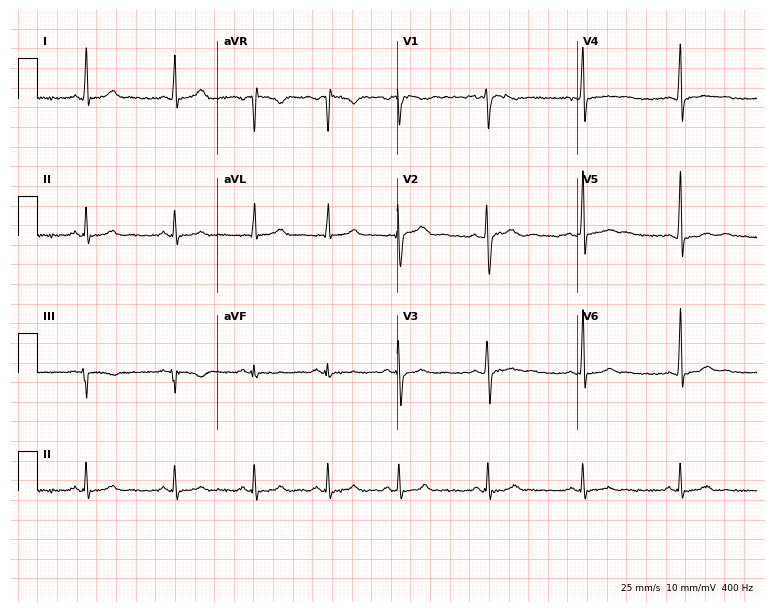
12-lead ECG (7.3-second recording at 400 Hz) from a woman, 29 years old. Labelled as a normal ECG.